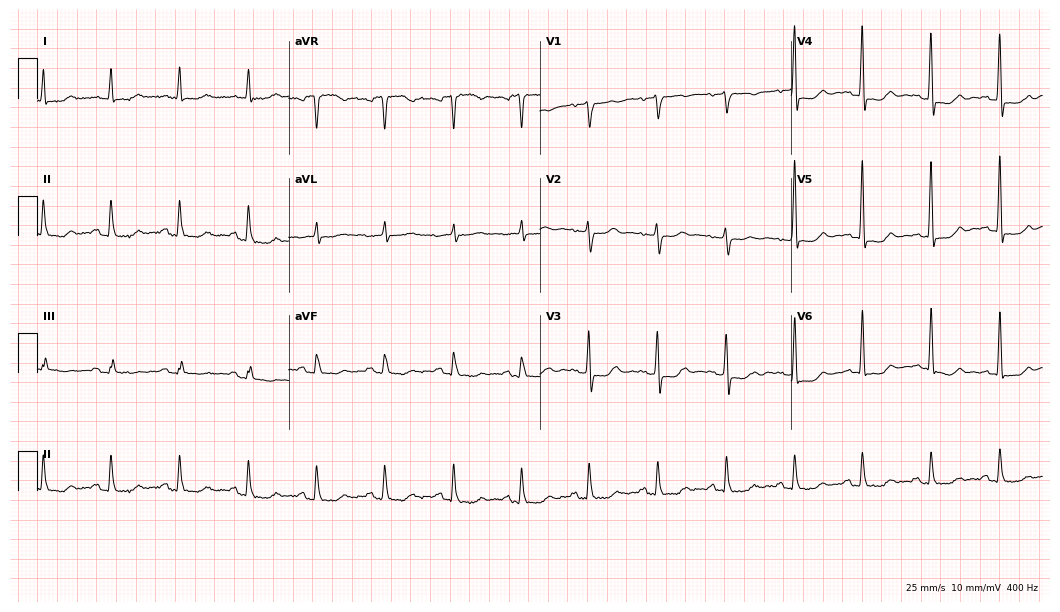
Resting 12-lead electrocardiogram (10.2-second recording at 400 Hz). Patient: a woman, 64 years old. None of these six findings is recorded: first-degree AV block, right bundle branch block, left bundle branch block, sinus bradycardia, atrial fibrillation, sinus tachycardia.